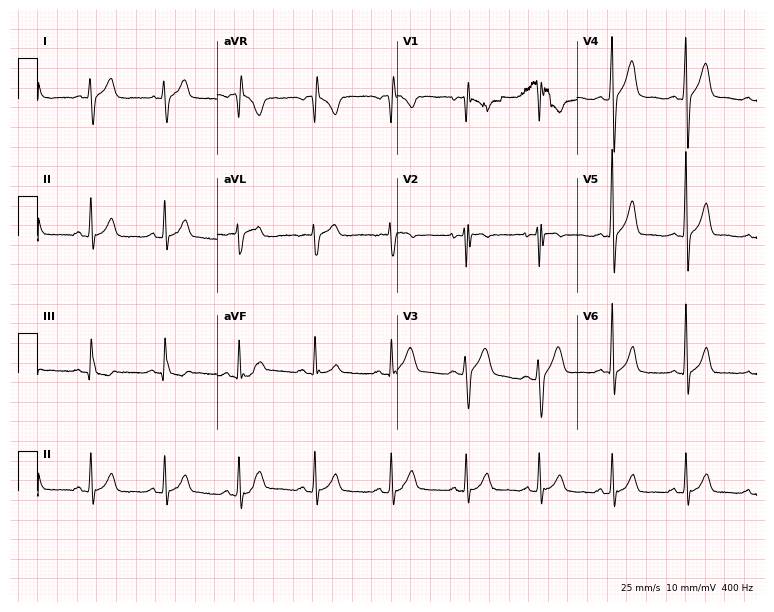
Resting 12-lead electrocardiogram. Patient: a 24-year-old male. Read as a normal ECG.